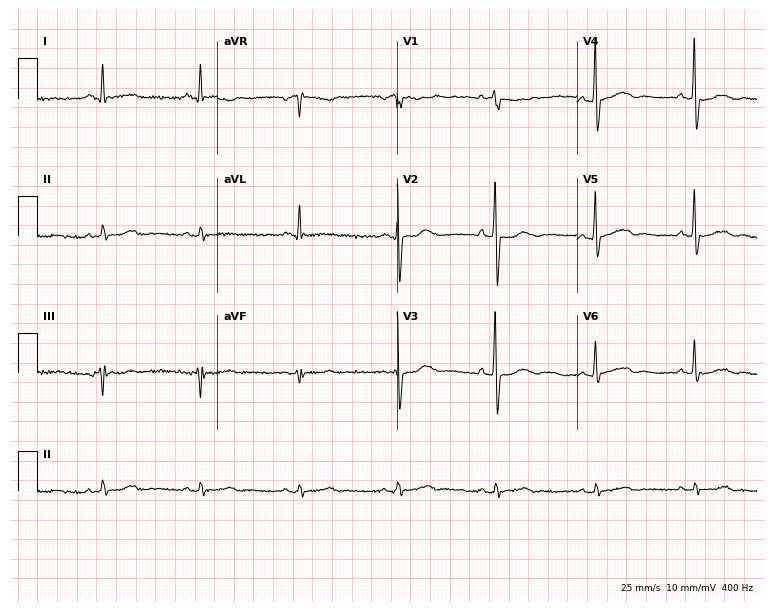
Standard 12-lead ECG recorded from a man, 72 years old. None of these six findings is recorded: first-degree AV block, right bundle branch block, left bundle branch block, sinus bradycardia, atrial fibrillation, sinus tachycardia.